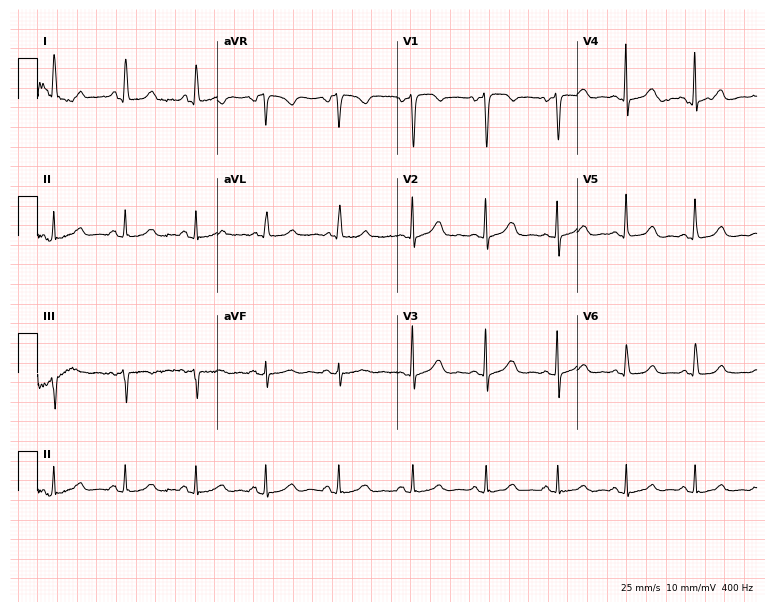
Standard 12-lead ECG recorded from a female, 52 years old. Read as a normal ECG.